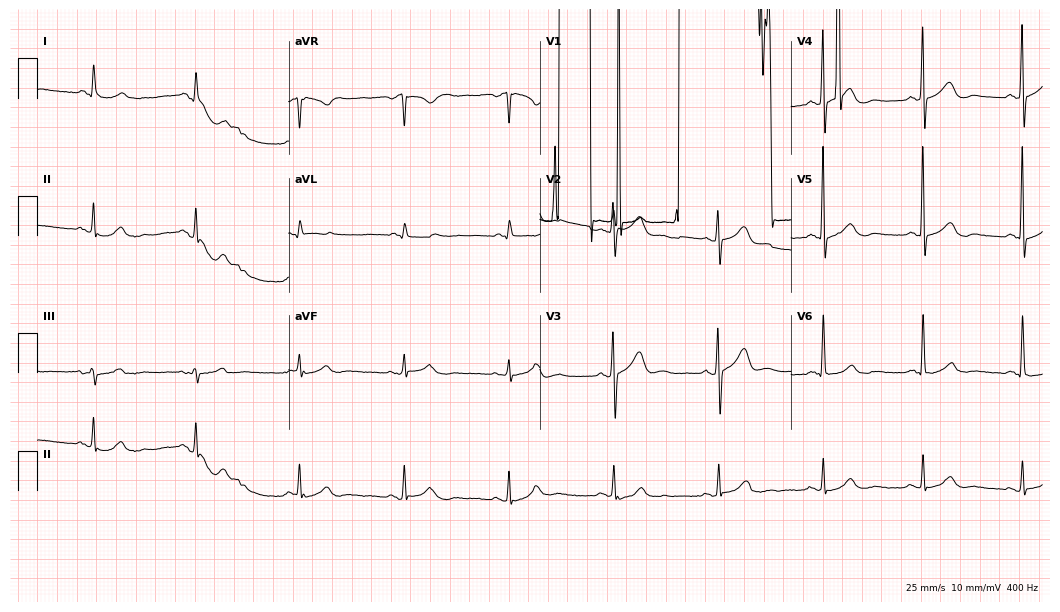
Electrocardiogram, a 69-year-old man. Of the six screened findings (first-degree AV block, right bundle branch block, left bundle branch block, sinus bradycardia, atrial fibrillation, sinus tachycardia), none is recorded. Other findings, if any, are not listed.